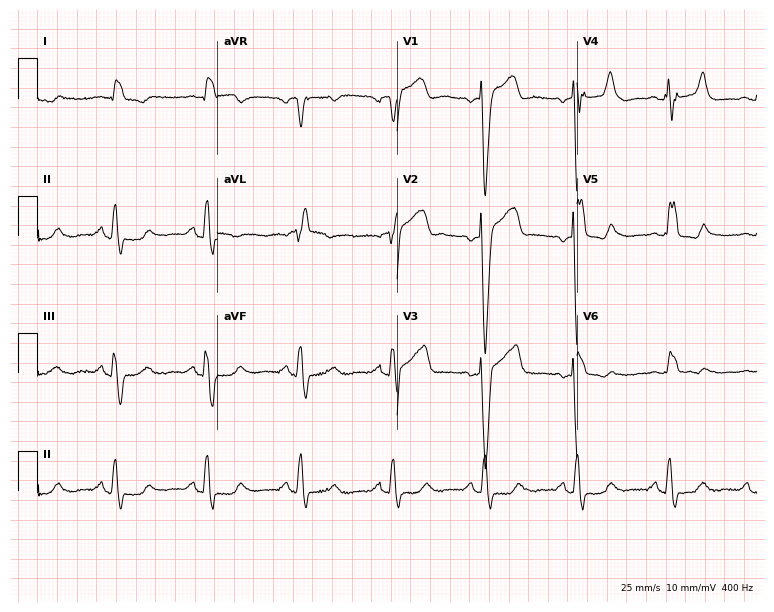
ECG (7.3-second recording at 400 Hz) — a male patient, 81 years old. Findings include left bundle branch block (LBBB).